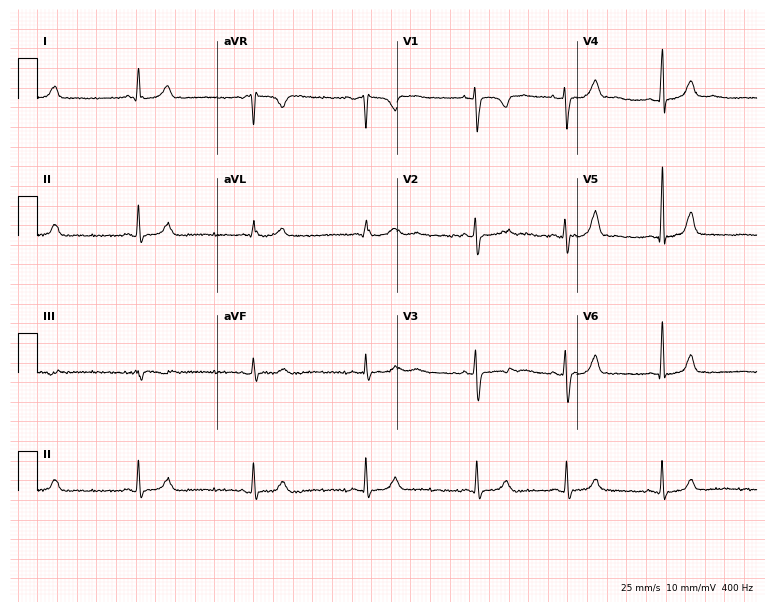
ECG — a female, 25 years old. Screened for six findings — first-degree AV block, right bundle branch block (RBBB), left bundle branch block (LBBB), sinus bradycardia, atrial fibrillation (AF), sinus tachycardia — none is recorded. Other findings, if any, are not listed.